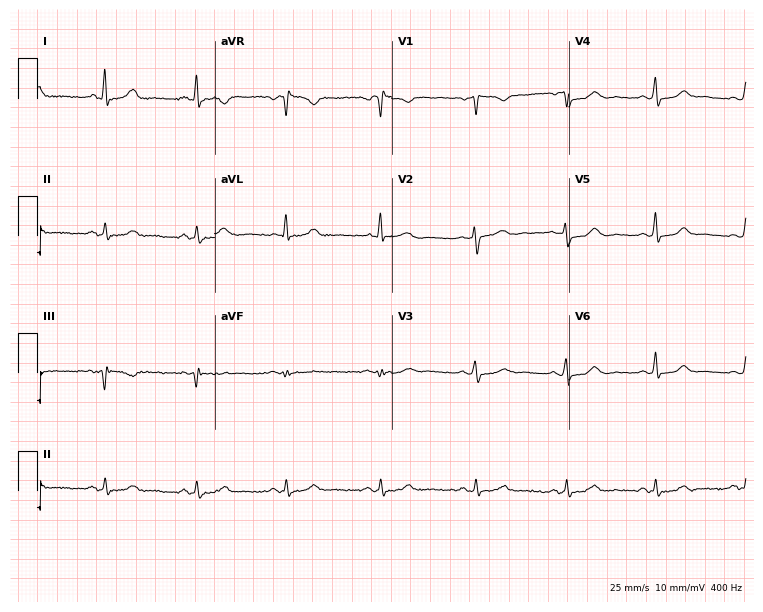
12-lead ECG from a female patient, 52 years old. Screened for six findings — first-degree AV block, right bundle branch block (RBBB), left bundle branch block (LBBB), sinus bradycardia, atrial fibrillation (AF), sinus tachycardia — none is recorded.